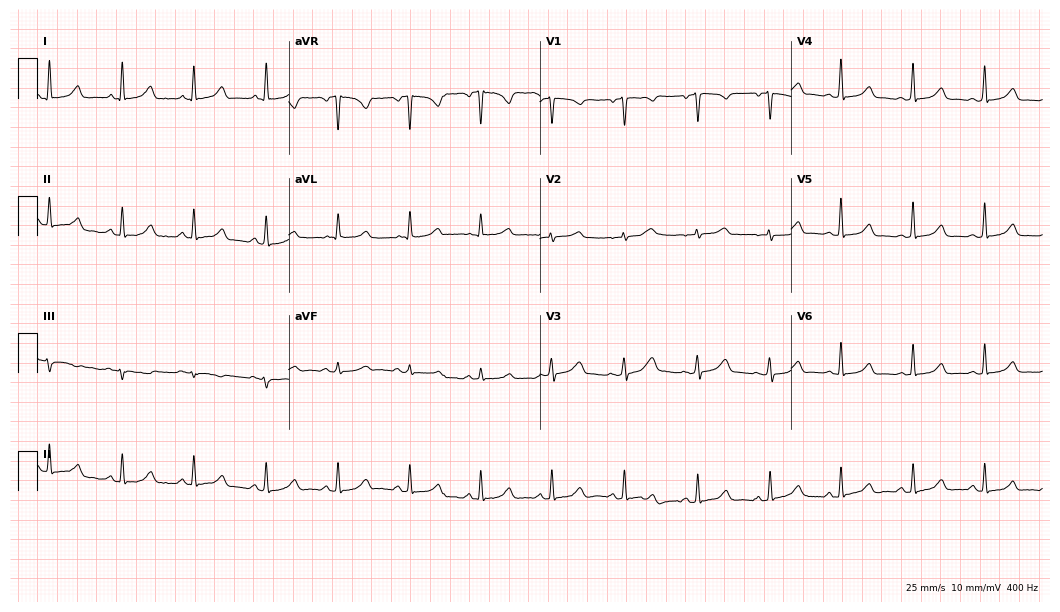
ECG (10.2-second recording at 400 Hz) — a 42-year-old female. Labelled as a normal ECG.